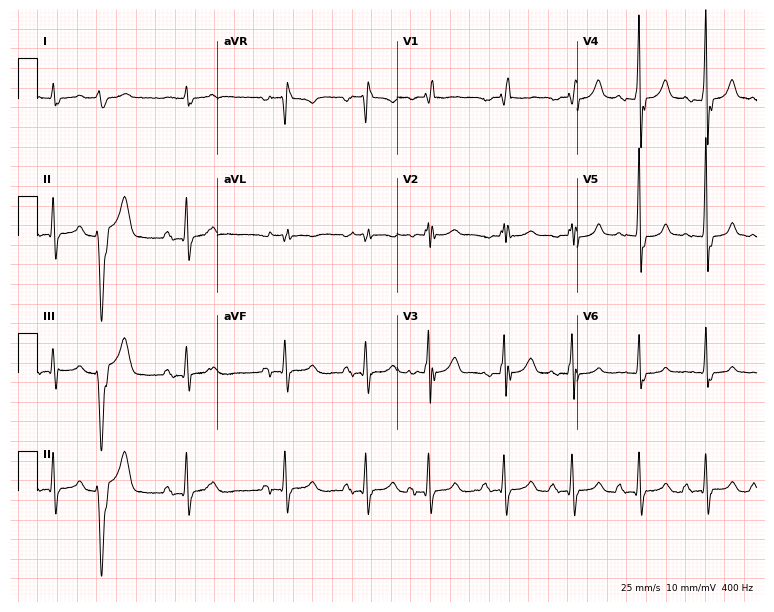
12-lead ECG from an 81-year-old male patient. Screened for six findings — first-degree AV block, right bundle branch block (RBBB), left bundle branch block (LBBB), sinus bradycardia, atrial fibrillation (AF), sinus tachycardia — none is recorded. Only these six findings were labelled.